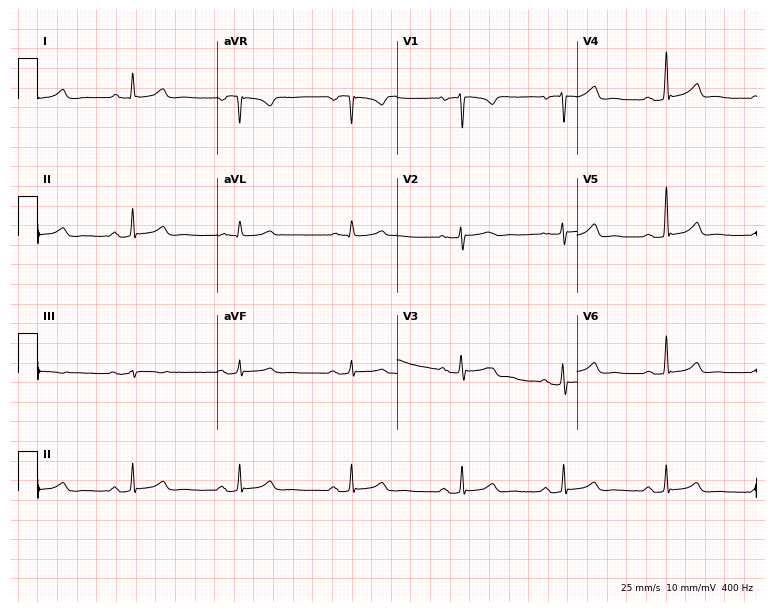
Electrocardiogram (7.3-second recording at 400 Hz), a woman, 49 years old. Of the six screened findings (first-degree AV block, right bundle branch block, left bundle branch block, sinus bradycardia, atrial fibrillation, sinus tachycardia), none is recorded. Findings outside these six are not listed.